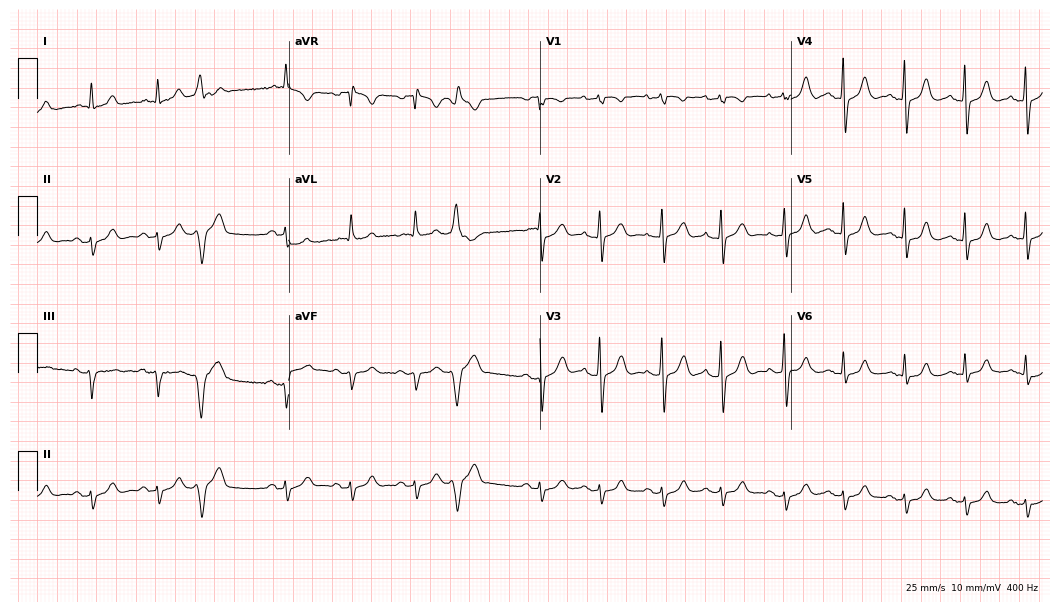
12-lead ECG from a 58-year-old male. Screened for six findings — first-degree AV block, right bundle branch block, left bundle branch block, sinus bradycardia, atrial fibrillation, sinus tachycardia — none is recorded.